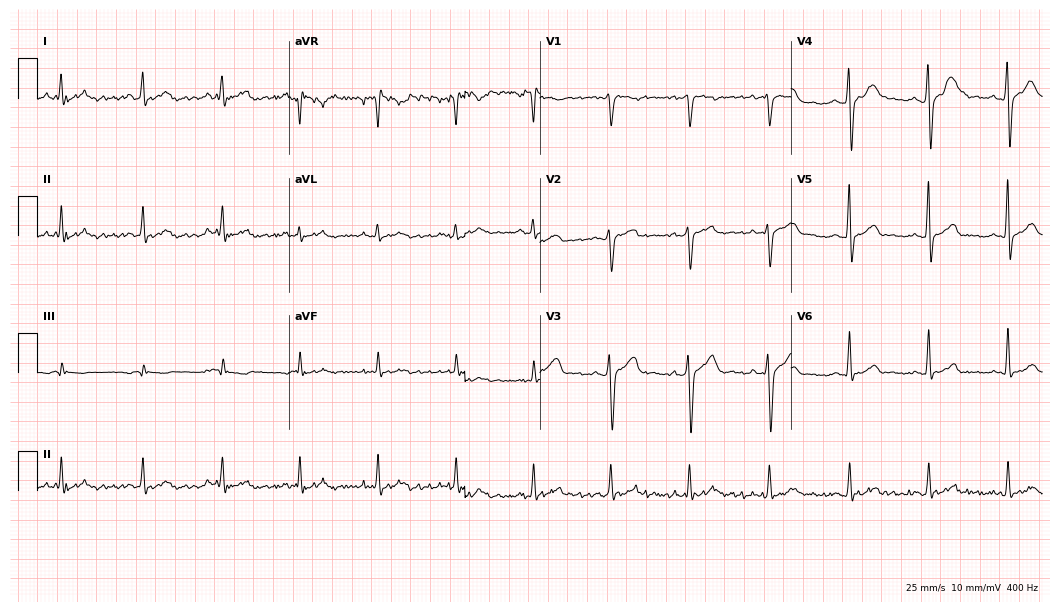
Resting 12-lead electrocardiogram (10.2-second recording at 400 Hz). Patient: a man, 37 years old. None of these six findings is recorded: first-degree AV block, right bundle branch block, left bundle branch block, sinus bradycardia, atrial fibrillation, sinus tachycardia. Only these six findings were labelled.